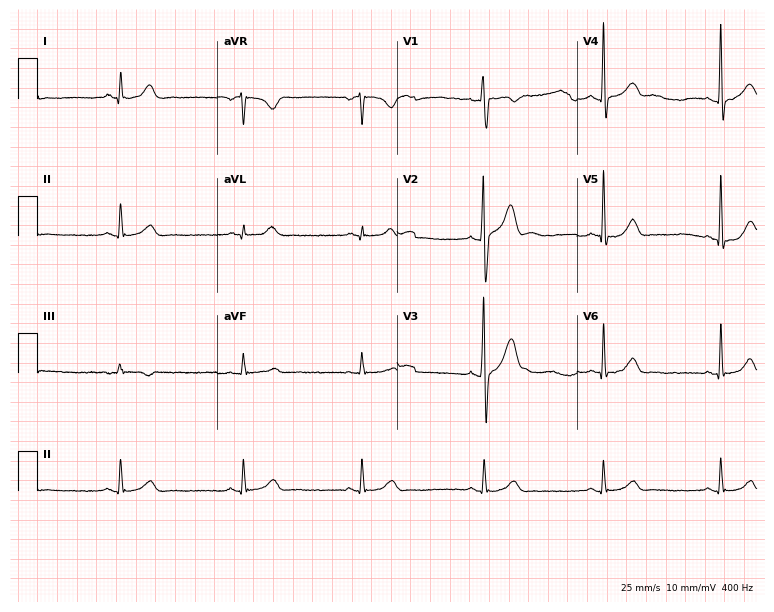
12-lead ECG from a man, 40 years old (7.3-second recording at 400 Hz). Shows sinus bradycardia (a sinus rate of 50 beats per minute or less).